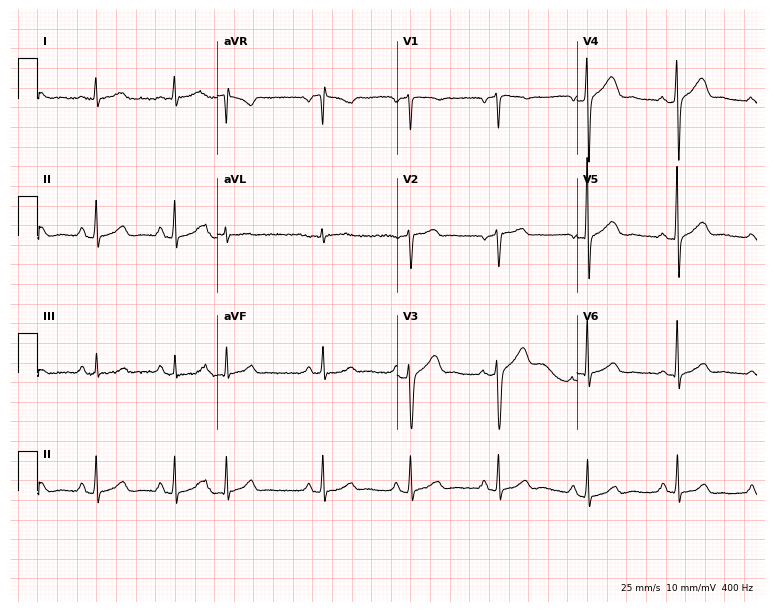
Standard 12-lead ECG recorded from a male, 57 years old. Read as a normal ECG.